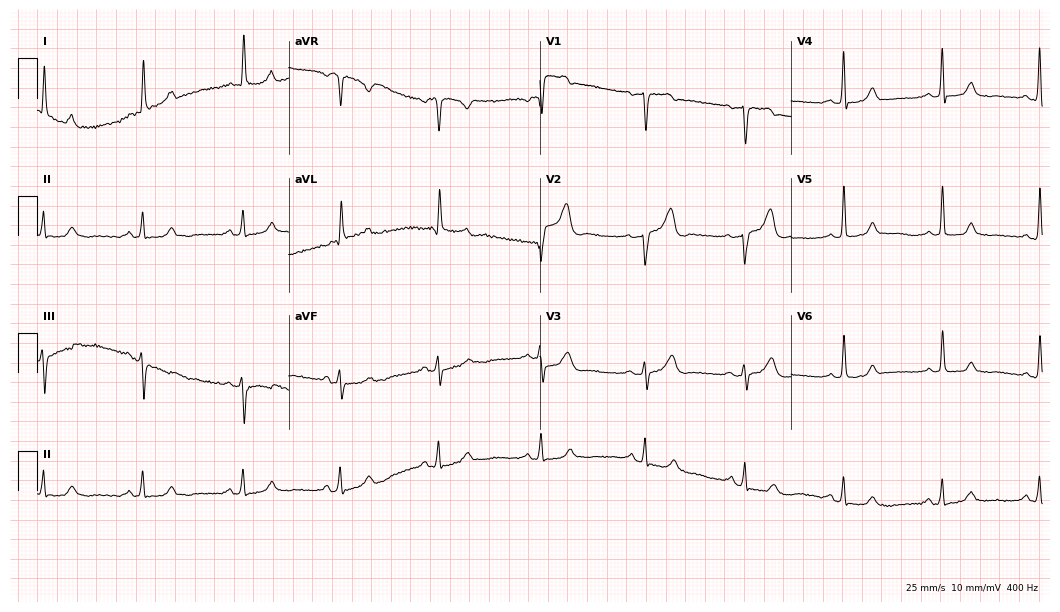
12-lead ECG (10.2-second recording at 400 Hz) from an 81-year-old female patient. Labelled as a normal ECG.